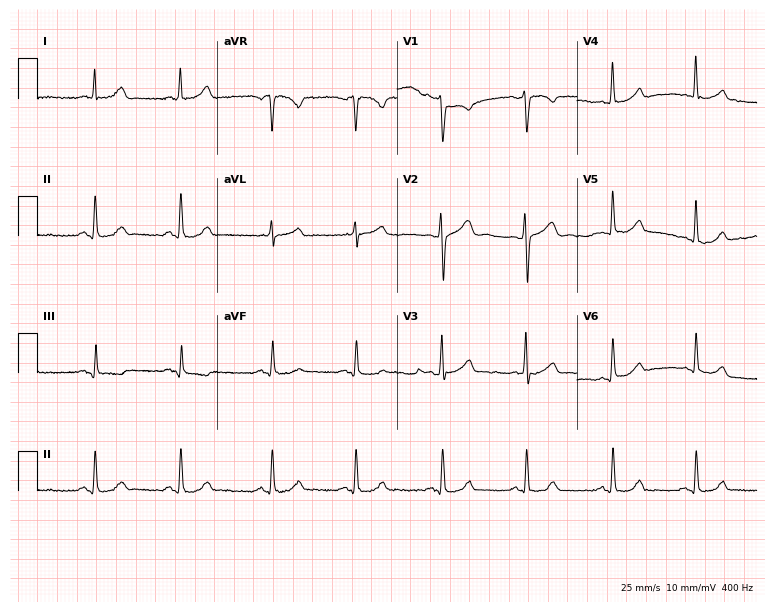
Standard 12-lead ECG recorded from a 29-year-old woman (7.3-second recording at 400 Hz). None of these six findings is recorded: first-degree AV block, right bundle branch block, left bundle branch block, sinus bradycardia, atrial fibrillation, sinus tachycardia. Findings outside these six are not listed.